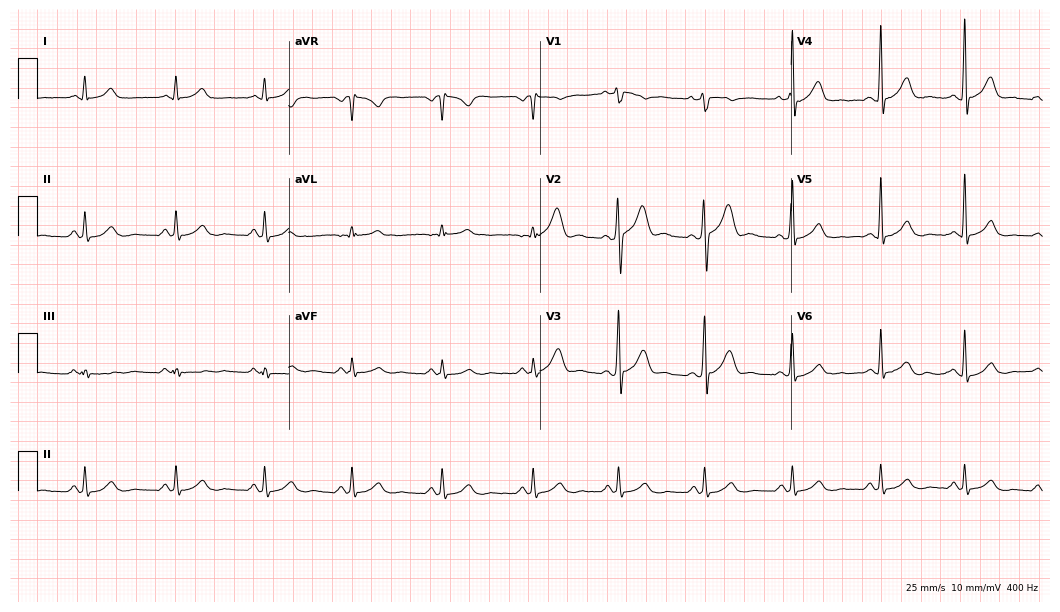
Resting 12-lead electrocardiogram. Patient: a 46-year-old man. Read as a normal ECG.